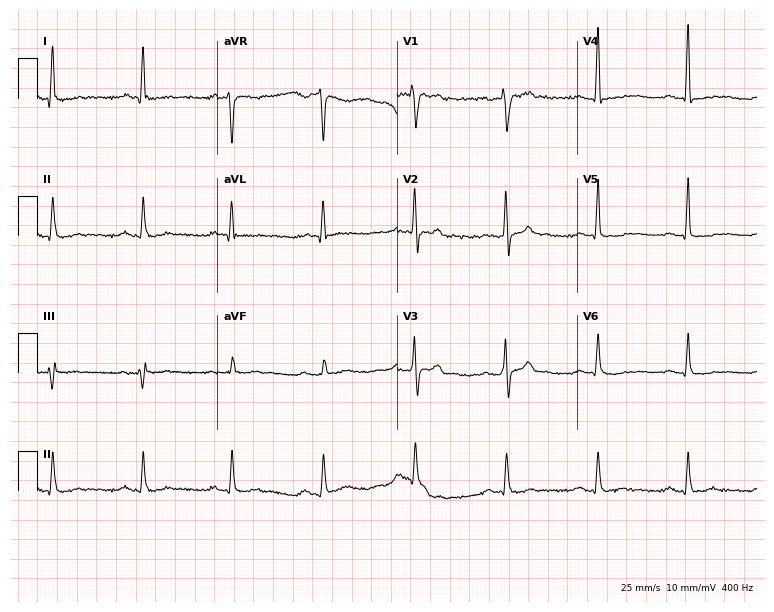
Electrocardiogram, a male, 42 years old. Of the six screened findings (first-degree AV block, right bundle branch block (RBBB), left bundle branch block (LBBB), sinus bradycardia, atrial fibrillation (AF), sinus tachycardia), none is recorded.